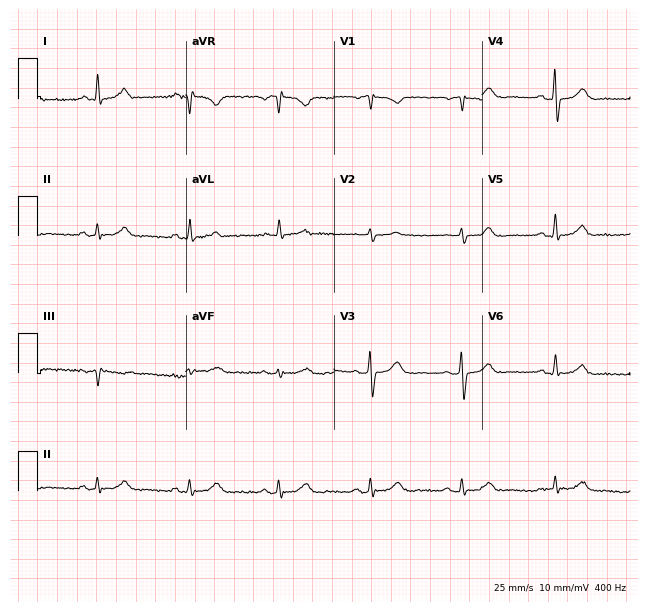
ECG — a woman, 71 years old. Screened for six findings — first-degree AV block, right bundle branch block, left bundle branch block, sinus bradycardia, atrial fibrillation, sinus tachycardia — none is recorded. Findings outside these six are not listed.